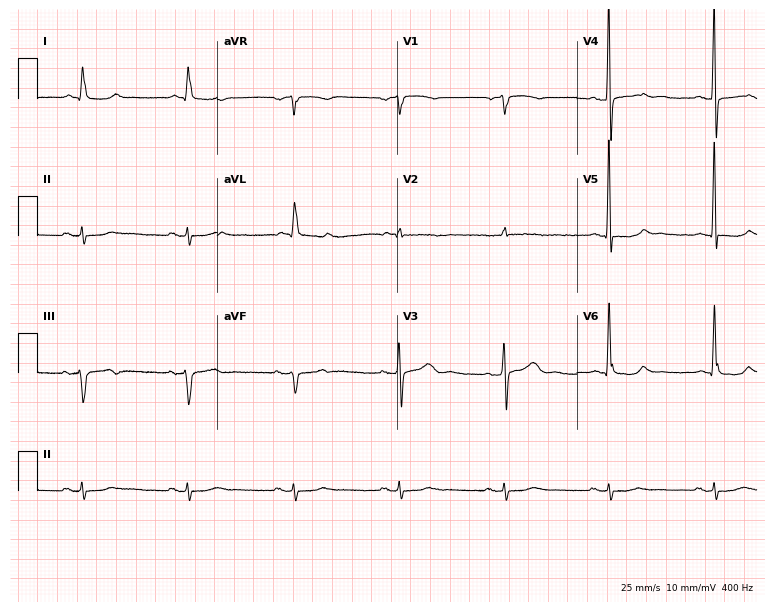
12-lead ECG from a 61-year-old male patient. No first-degree AV block, right bundle branch block (RBBB), left bundle branch block (LBBB), sinus bradycardia, atrial fibrillation (AF) or sinus tachycardia recorded for this tracing. Only these six findings were labelled.